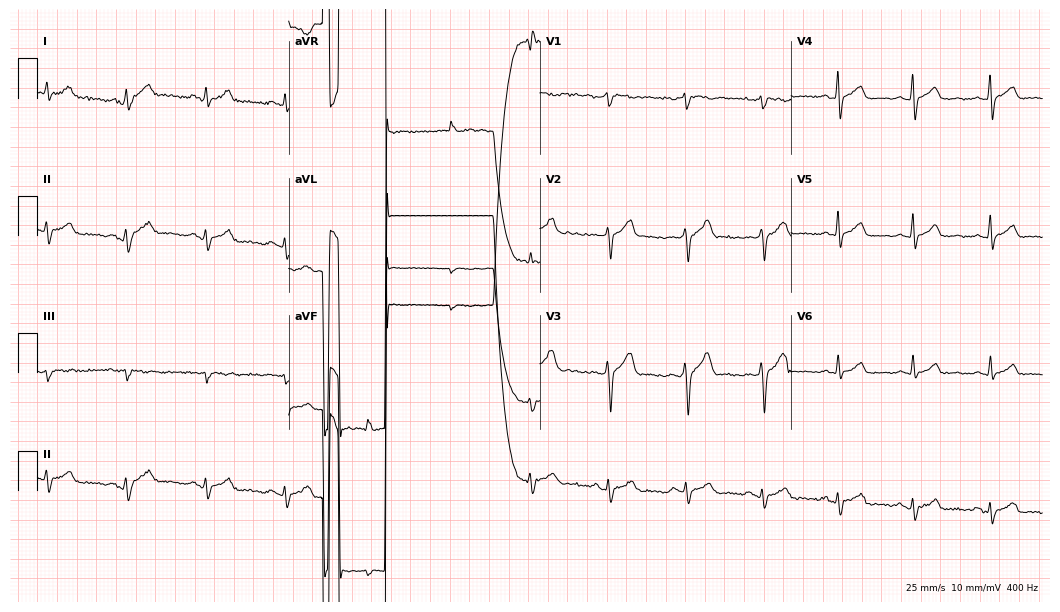
Electrocardiogram (10.2-second recording at 400 Hz), a 41-year-old male. Of the six screened findings (first-degree AV block, right bundle branch block, left bundle branch block, sinus bradycardia, atrial fibrillation, sinus tachycardia), none is recorded.